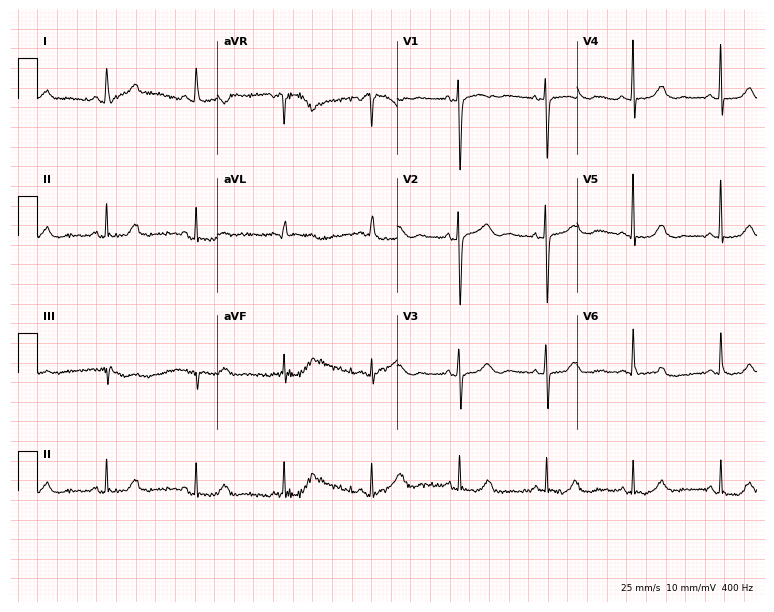
Resting 12-lead electrocardiogram. Patient: an 80-year-old female. None of these six findings is recorded: first-degree AV block, right bundle branch block (RBBB), left bundle branch block (LBBB), sinus bradycardia, atrial fibrillation (AF), sinus tachycardia.